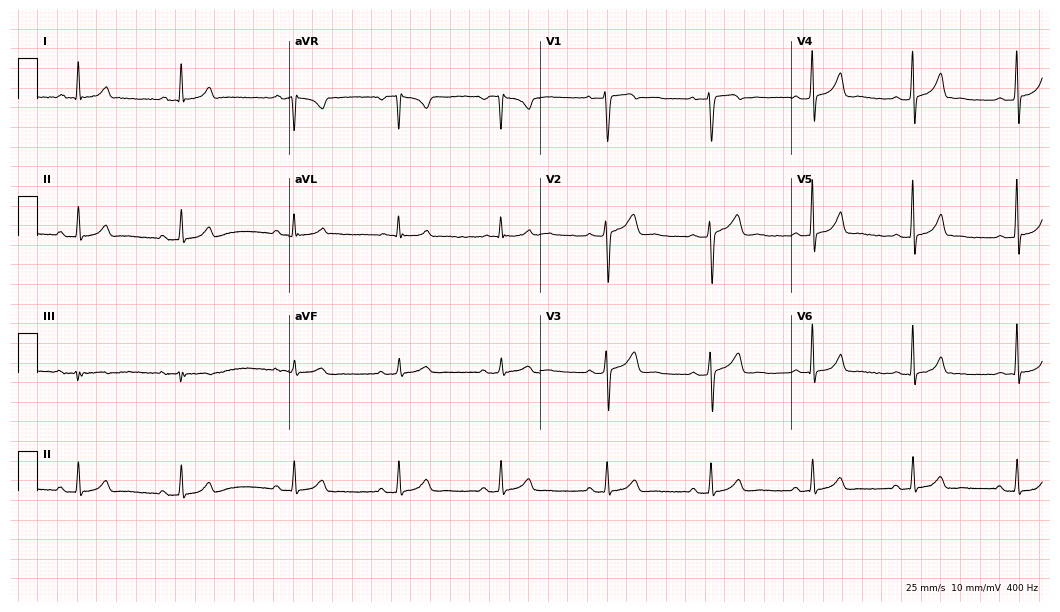
Standard 12-lead ECG recorded from a 40-year-old woman. Read as a normal ECG.